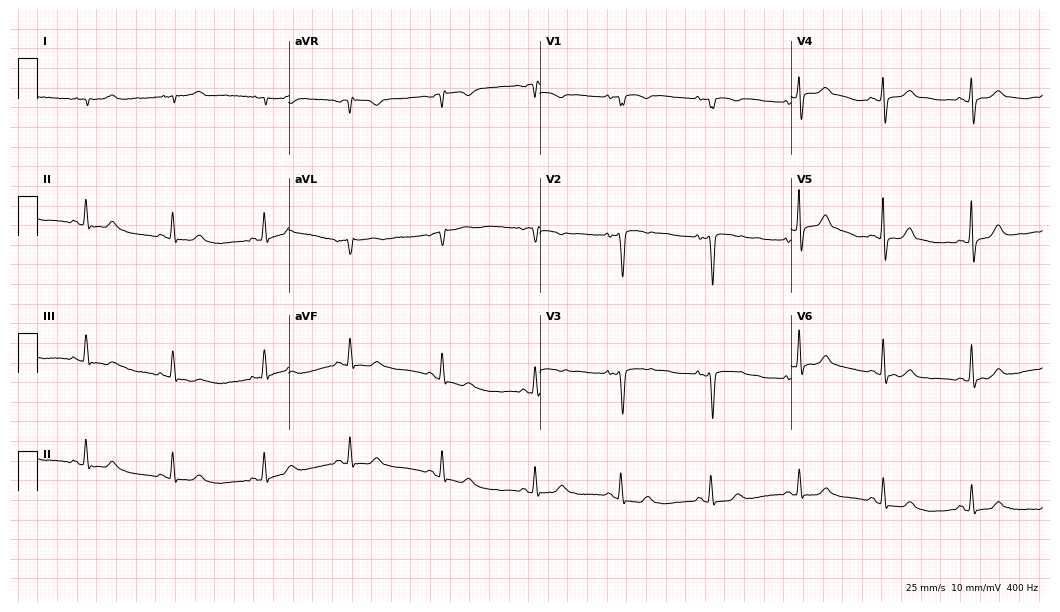
ECG (10.2-second recording at 400 Hz) — a 65-year-old female patient. Screened for six findings — first-degree AV block, right bundle branch block, left bundle branch block, sinus bradycardia, atrial fibrillation, sinus tachycardia — none is recorded. Findings outside these six are not listed.